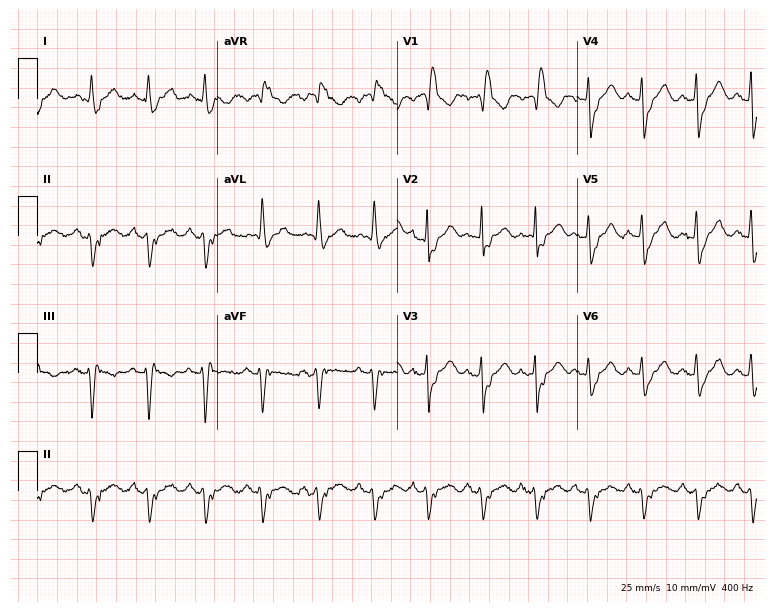
Standard 12-lead ECG recorded from a 73-year-old male patient. The tracing shows right bundle branch block (RBBB), sinus tachycardia (a sinus rate of 100 beats per minute or more).